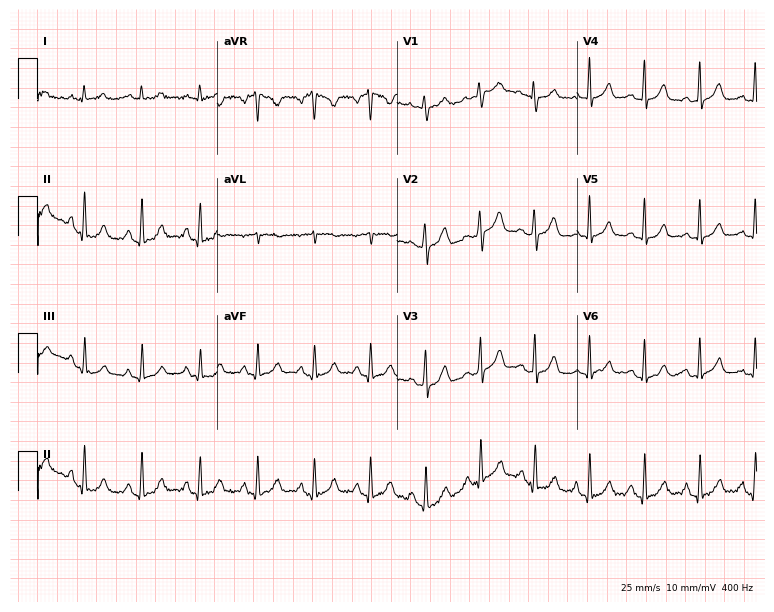
12-lead ECG (7.3-second recording at 400 Hz) from a 37-year-old male. Labelled as a normal ECG.